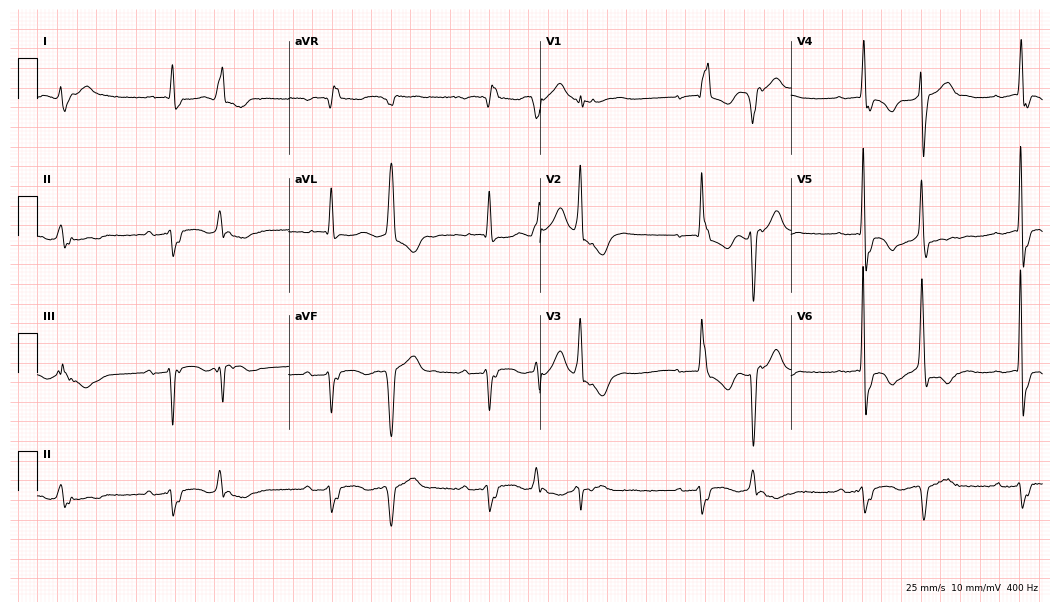
Electrocardiogram, an 84-year-old female. Interpretation includes right bundle branch block.